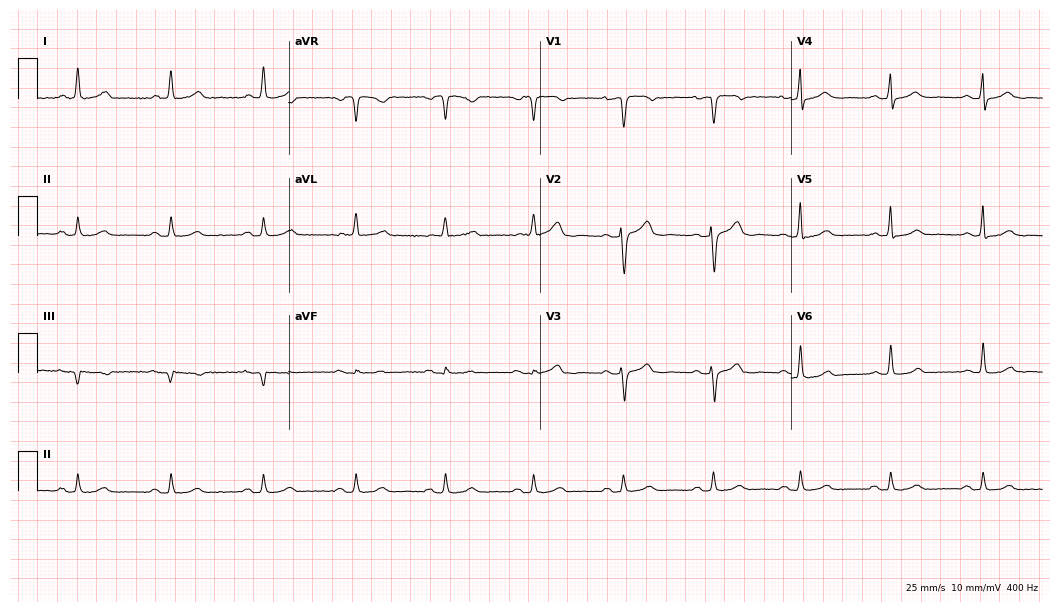
Resting 12-lead electrocardiogram (10.2-second recording at 400 Hz). Patient: a female, 65 years old. Read as a normal ECG.